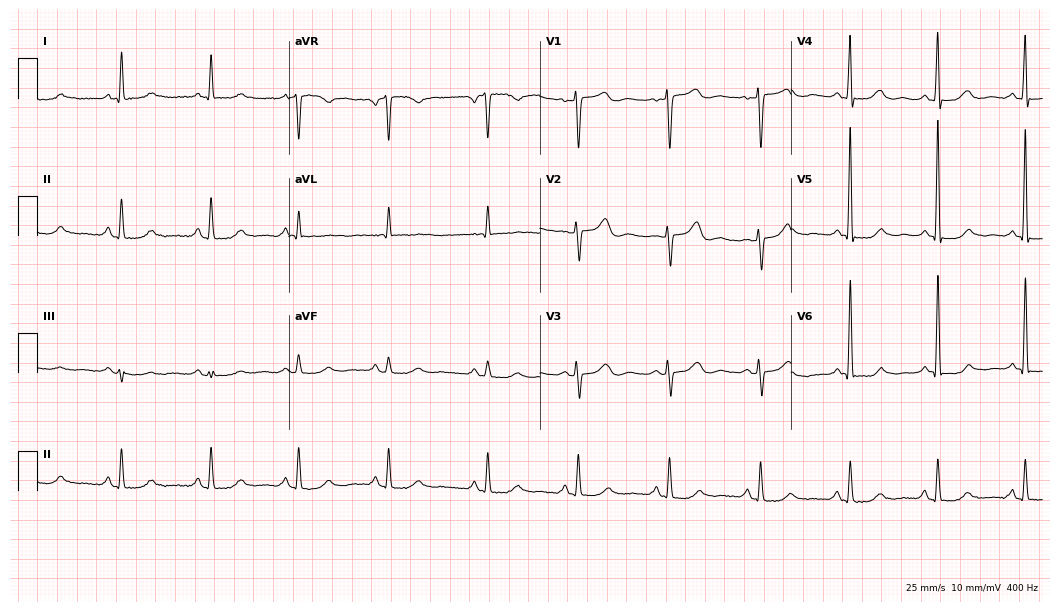
Resting 12-lead electrocardiogram (10.2-second recording at 400 Hz). Patient: a female, 65 years old. None of these six findings is recorded: first-degree AV block, right bundle branch block, left bundle branch block, sinus bradycardia, atrial fibrillation, sinus tachycardia. Findings outside these six are not listed.